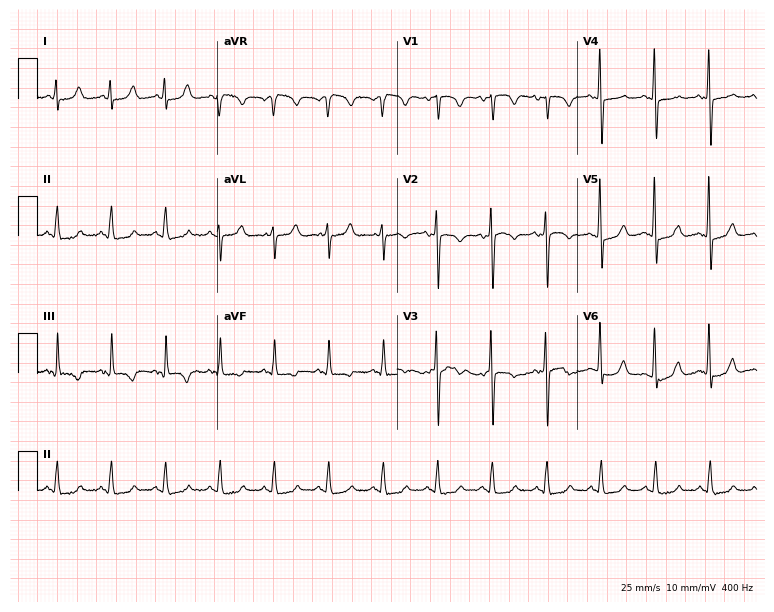
12-lead ECG from an 84-year-old female patient. Findings include sinus tachycardia (a sinus rate of 100 beats per minute or more).